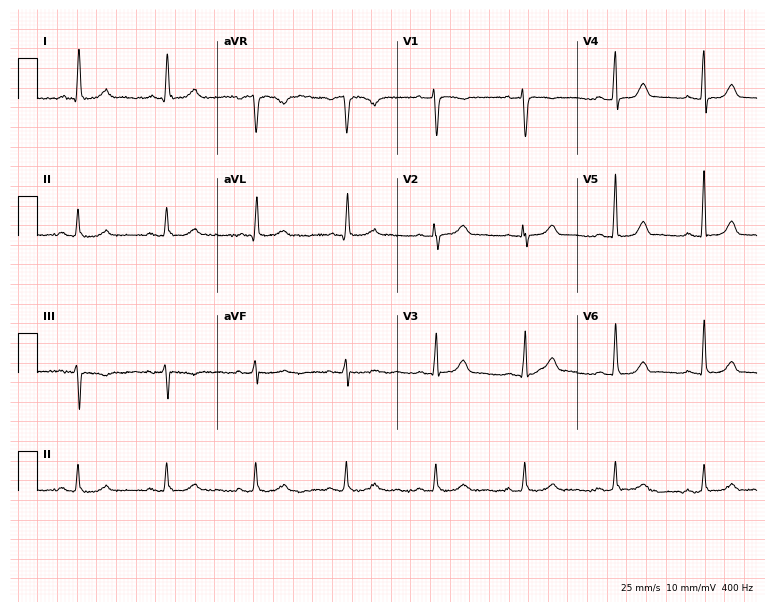
12-lead ECG from a 62-year-old female. Screened for six findings — first-degree AV block, right bundle branch block, left bundle branch block, sinus bradycardia, atrial fibrillation, sinus tachycardia — none is recorded. Findings outside these six are not listed.